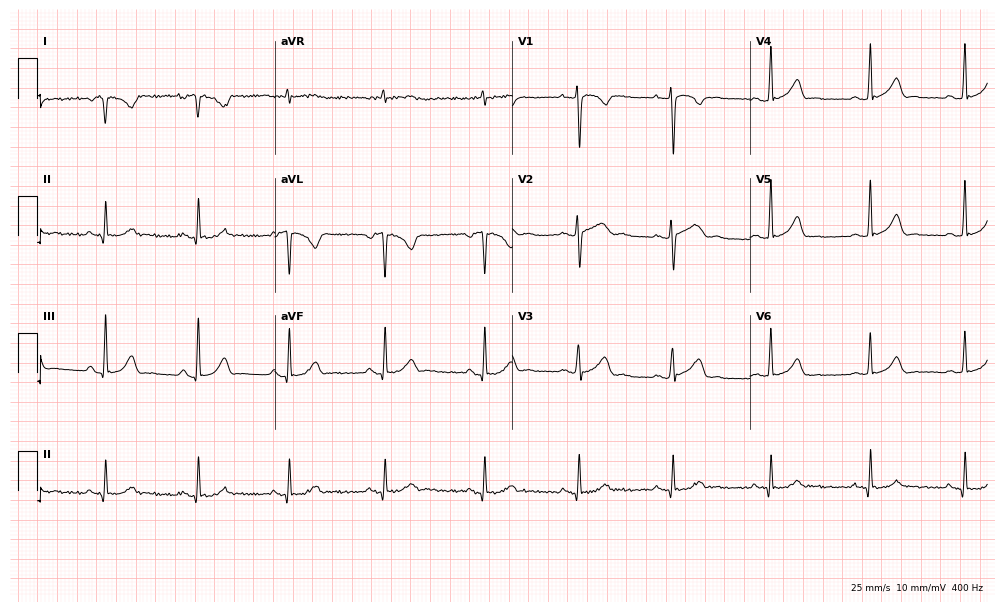
ECG — a 21-year-old female. Screened for six findings — first-degree AV block, right bundle branch block, left bundle branch block, sinus bradycardia, atrial fibrillation, sinus tachycardia — none is recorded.